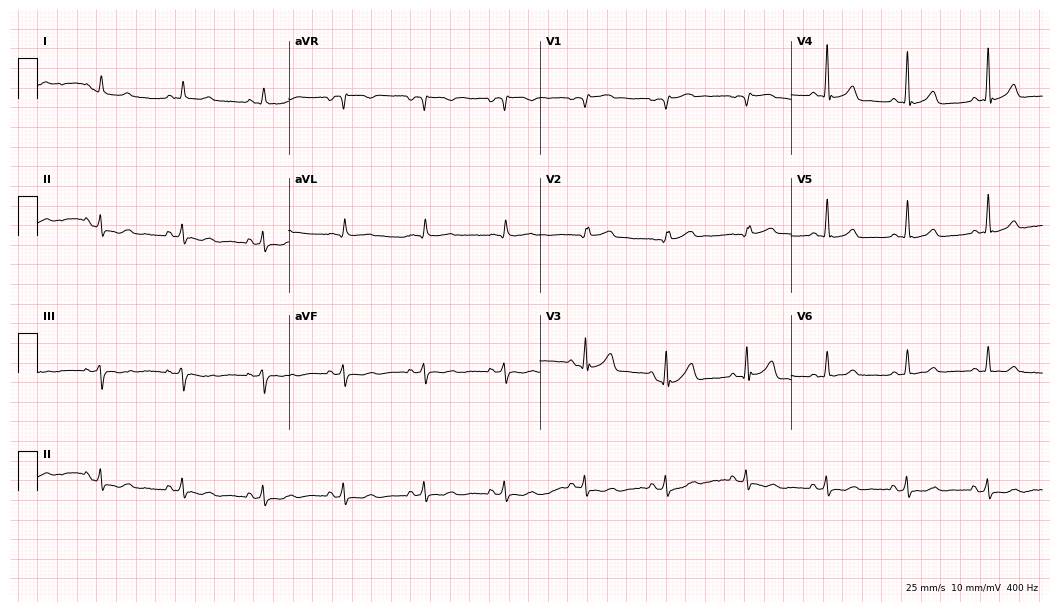
12-lead ECG (10.2-second recording at 400 Hz) from a 75-year-old man. Screened for six findings — first-degree AV block, right bundle branch block, left bundle branch block, sinus bradycardia, atrial fibrillation, sinus tachycardia — none is recorded.